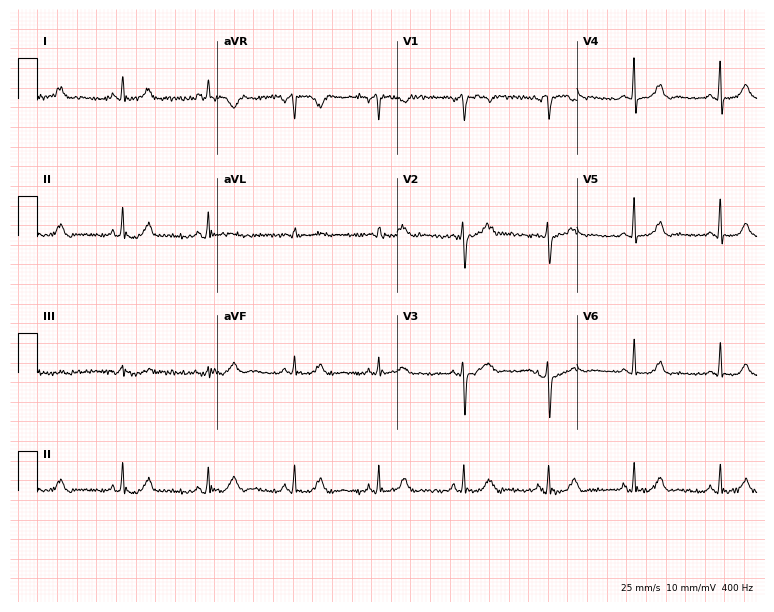
ECG — a 60-year-old man. Screened for six findings — first-degree AV block, right bundle branch block, left bundle branch block, sinus bradycardia, atrial fibrillation, sinus tachycardia — none is recorded.